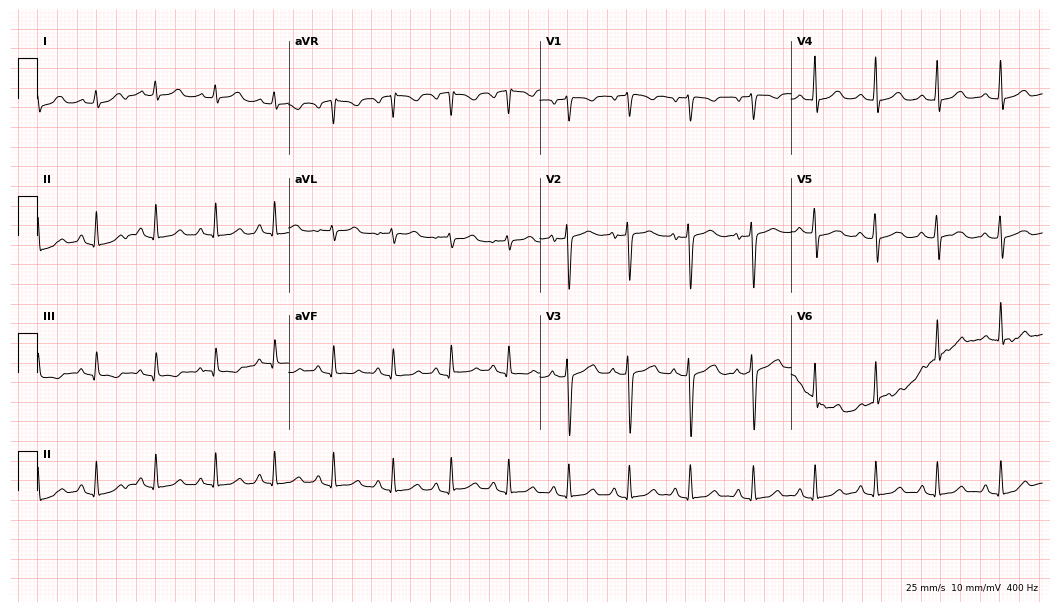
Standard 12-lead ECG recorded from a female patient, 24 years old (10.2-second recording at 400 Hz). Read as a normal ECG.